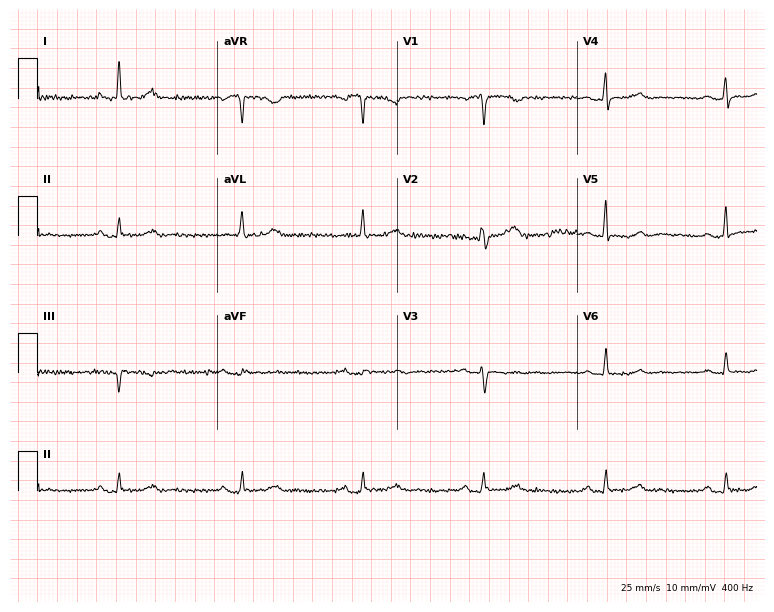
ECG — a 59-year-old woman. Screened for six findings — first-degree AV block, right bundle branch block (RBBB), left bundle branch block (LBBB), sinus bradycardia, atrial fibrillation (AF), sinus tachycardia — none is recorded.